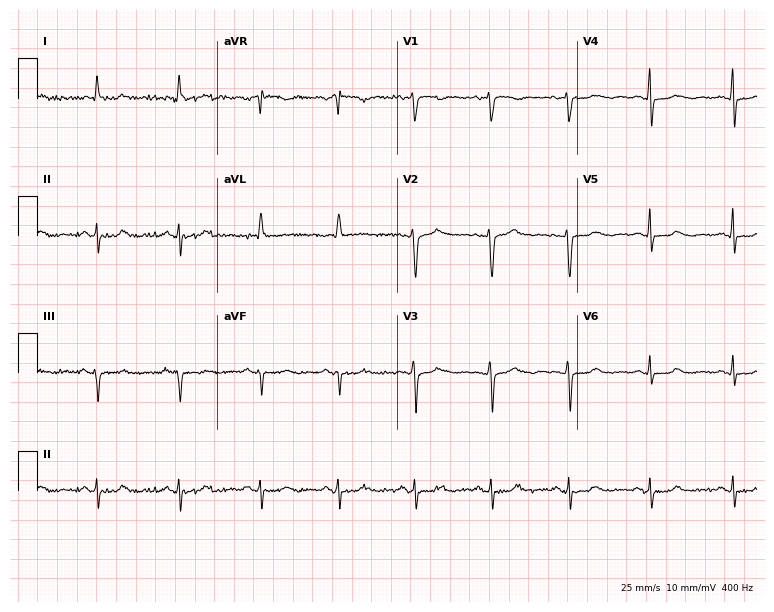
Electrocardiogram, a 54-year-old woman. Of the six screened findings (first-degree AV block, right bundle branch block, left bundle branch block, sinus bradycardia, atrial fibrillation, sinus tachycardia), none is recorded.